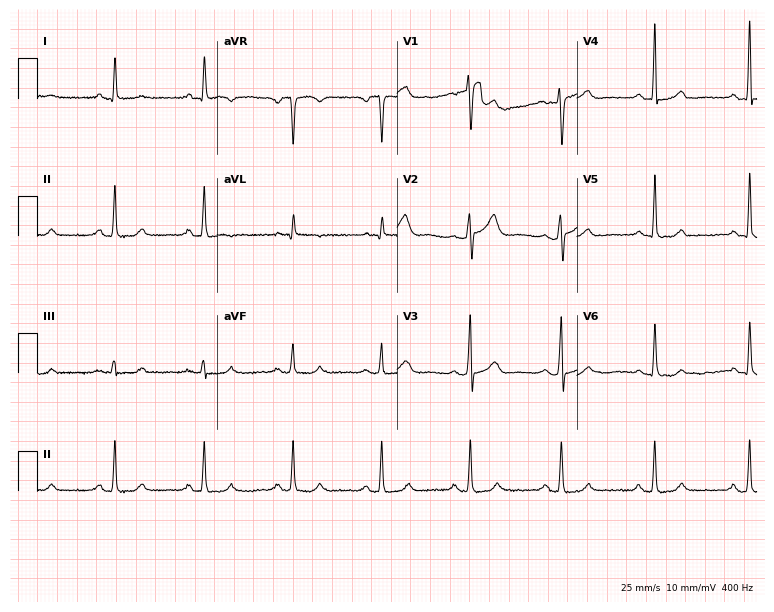
Electrocardiogram (7.3-second recording at 400 Hz), a 54-year-old man. Of the six screened findings (first-degree AV block, right bundle branch block, left bundle branch block, sinus bradycardia, atrial fibrillation, sinus tachycardia), none is recorded. Findings outside these six are not listed.